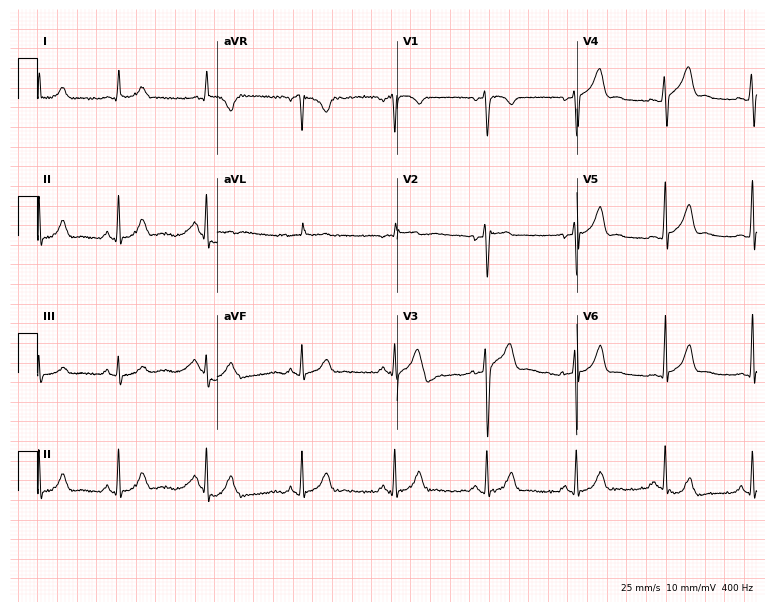
12-lead ECG from a man, 48 years old. Labelled as a normal ECG.